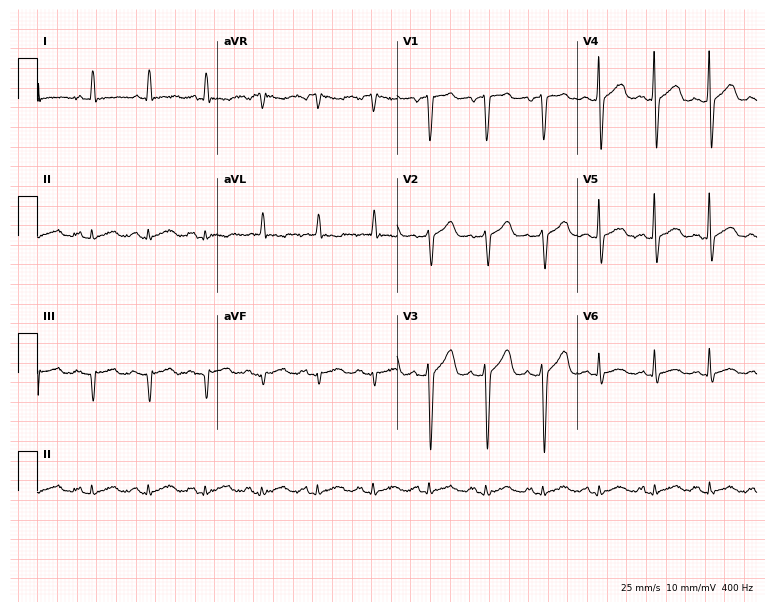
12-lead ECG from a female, 71 years old. Findings include sinus tachycardia (a sinus rate of 100 beats per minute or more).